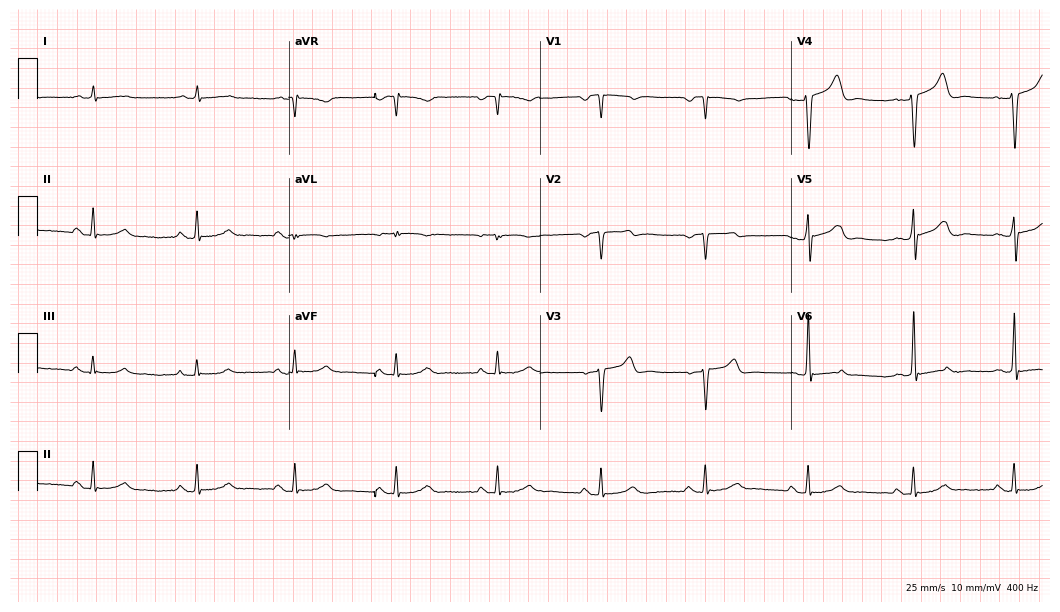
ECG (10.2-second recording at 400 Hz) — a 68-year-old male. Screened for six findings — first-degree AV block, right bundle branch block (RBBB), left bundle branch block (LBBB), sinus bradycardia, atrial fibrillation (AF), sinus tachycardia — none is recorded.